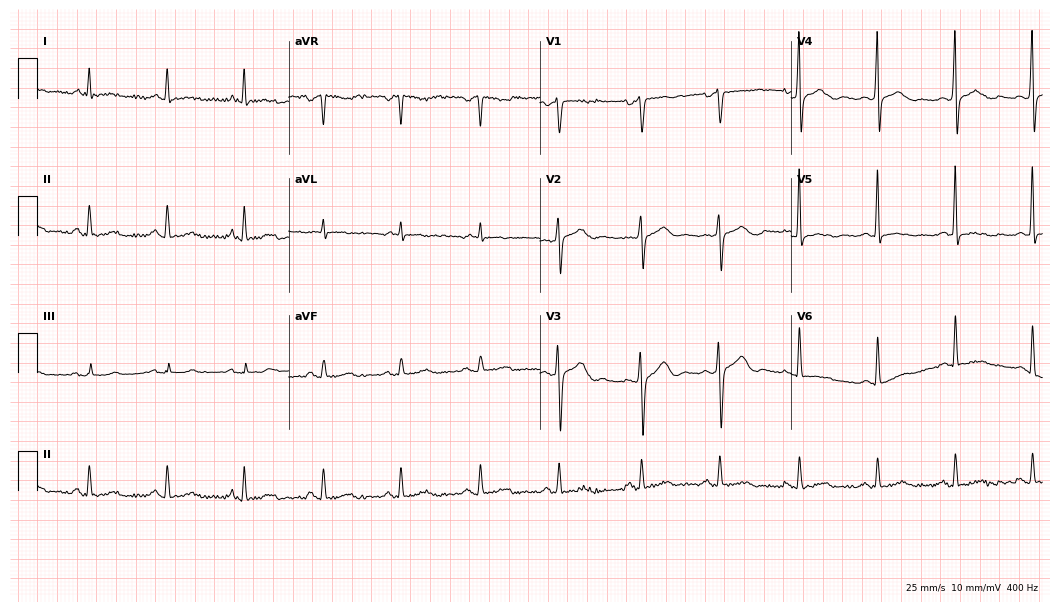
12-lead ECG from a male, 66 years old. No first-degree AV block, right bundle branch block, left bundle branch block, sinus bradycardia, atrial fibrillation or sinus tachycardia recorded for this tracing. Only these six findings were labelled.